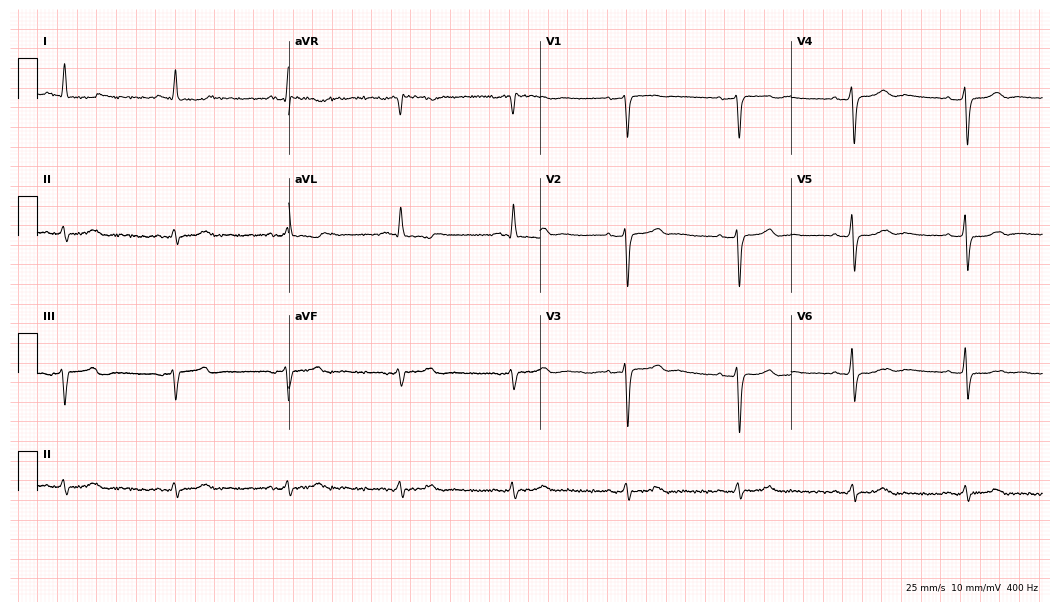
12-lead ECG from a female, 69 years old (10.2-second recording at 400 Hz). No first-degree AV block, right bundle branch block (RBBB), left bundle branch block (LBBB), sinus bradycardia, atrial fibrillation (AF) or sinus tachycardia recorded for this tracing. Other findings, if any, are not listed.